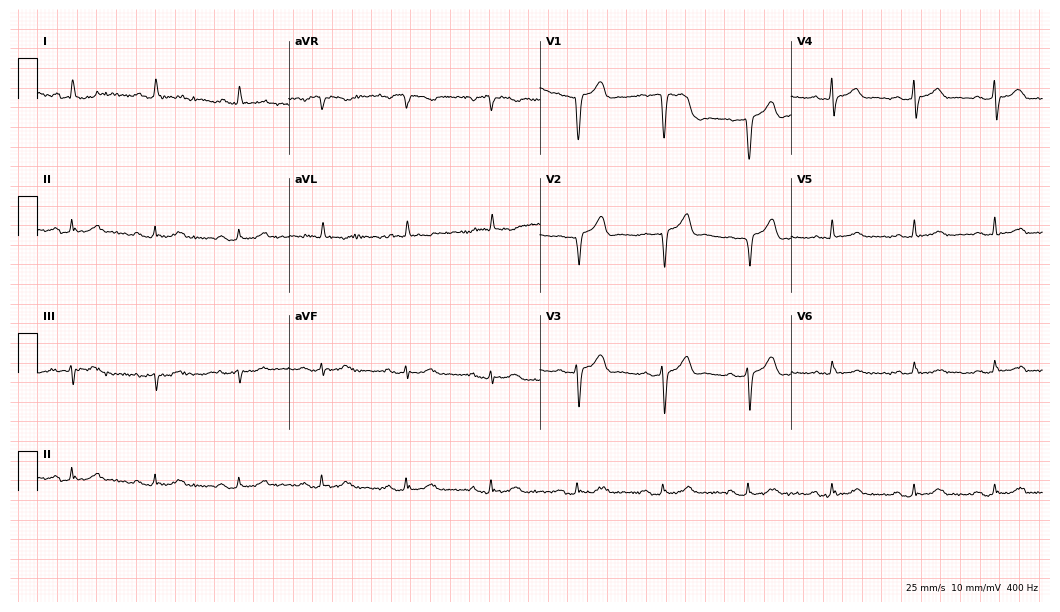
Standard 12-lead ECG recorded from a 58-year-old male. None of these six findings is recorded: first-degree AV block, right bundle branch block (RBBB), left bundle branch block (LBBB), sinus bradycardia, atrial fibrillation (AF), sinus tachycardia.